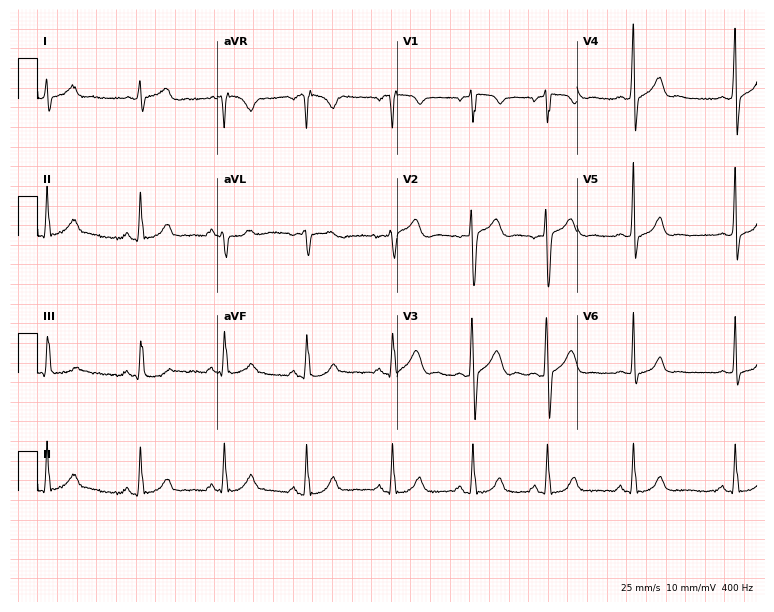
Resting 12-lead electrocardiogram (7.3-second recording at 400 Hz). Patient: a male, 28 years old. None of these six findings is recorded: first-degree AV block, right bundle branch block, left bundle branch block, sinus bradycardia, atrial fibrillation, sinus tachycardia. Only these six findings were labelled.